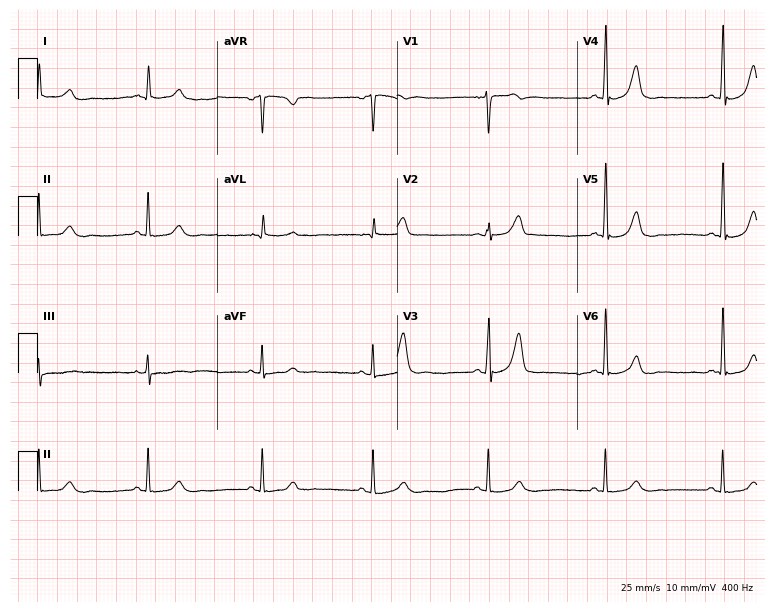
Resting 12-lead electrocardiogram. Patient: a 50-year-old male. None of these six findings is recorded: first-degree AV block, right bundle branch block, left bundle branch block, sinus bradycardia, atrial fibrillation, sinus tachycardia. Other findings, if any, are not listed.